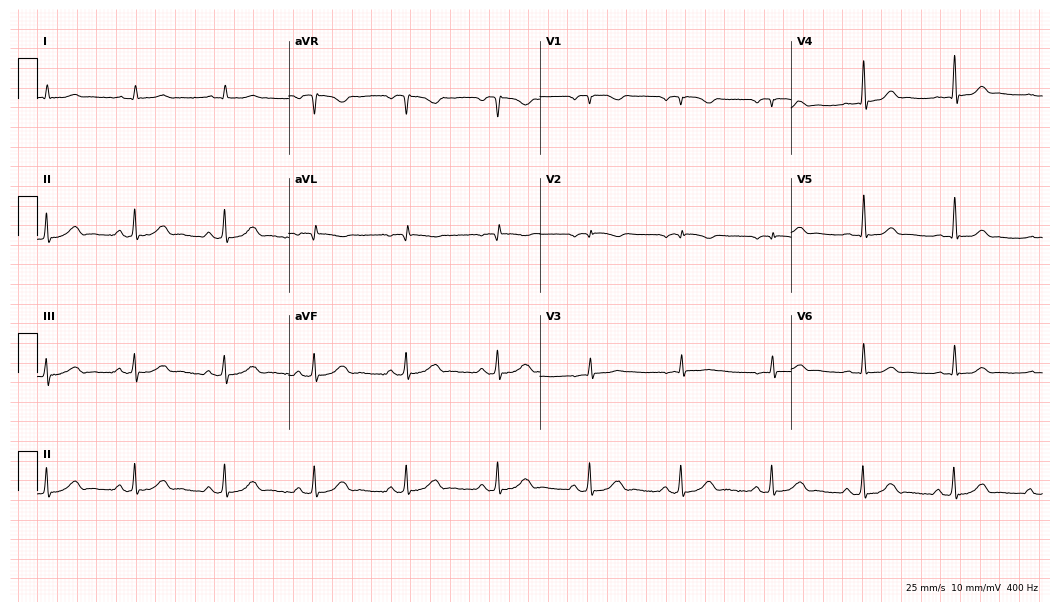
12-lead ECG from a male patient, 72 years old (10.2-second recording at 400 Hz). Recorded interpretation: within normal limits.